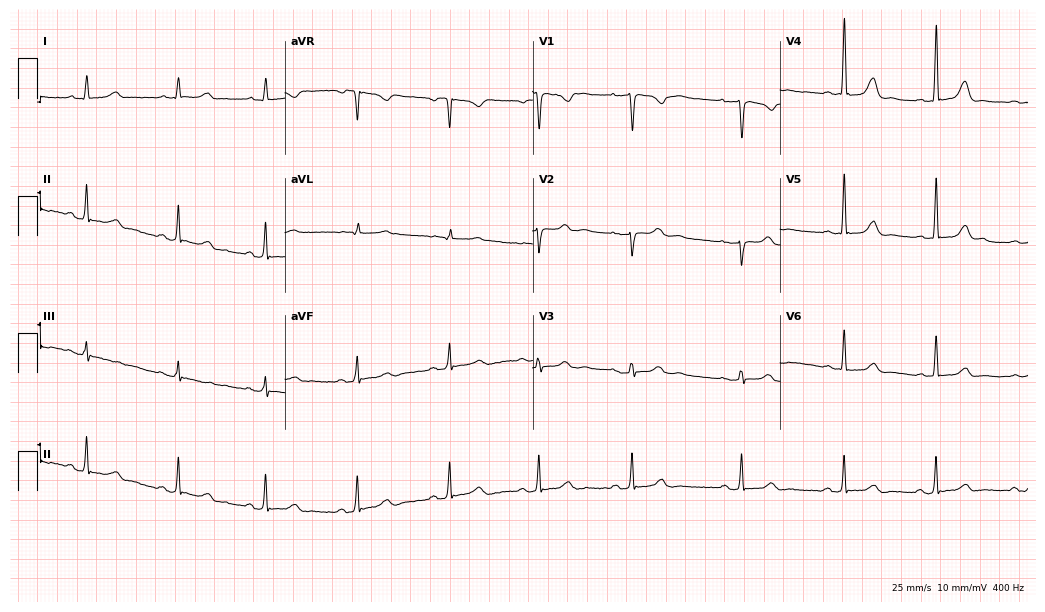
12-lead ECG from a 45-year-old female patient. Screened for six findings — first-degree AV block, right bundle branch block (RBBB), left bundle branch block (LBBB), sinus bradycardia, atrial fibrillation (AF), sinus tachycardia — none is recorded.